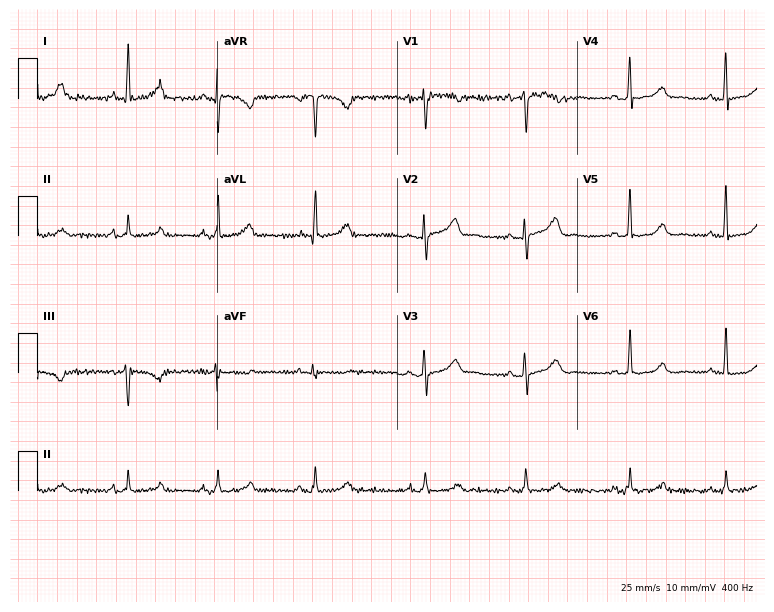
12-lead ECG from a female patient, 52 years old (7.3-second recording at 400 Hz). Recorded interpretation: within normal limits.